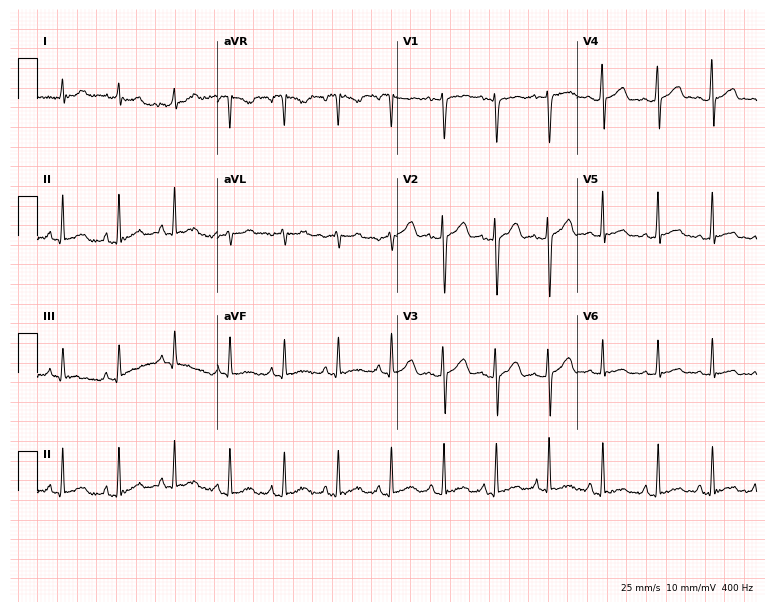
Standard 12-lead ECG recorded from a male patient, 23 years old (7.3-second recording at 400 Hz). None of these six findings is recorded: first-degree AV block, right bundle branch block (RBBB), left bundle branch block (LBBB), sinus bradycardia, atrial fibrillation (AF), sinus tachycardia.